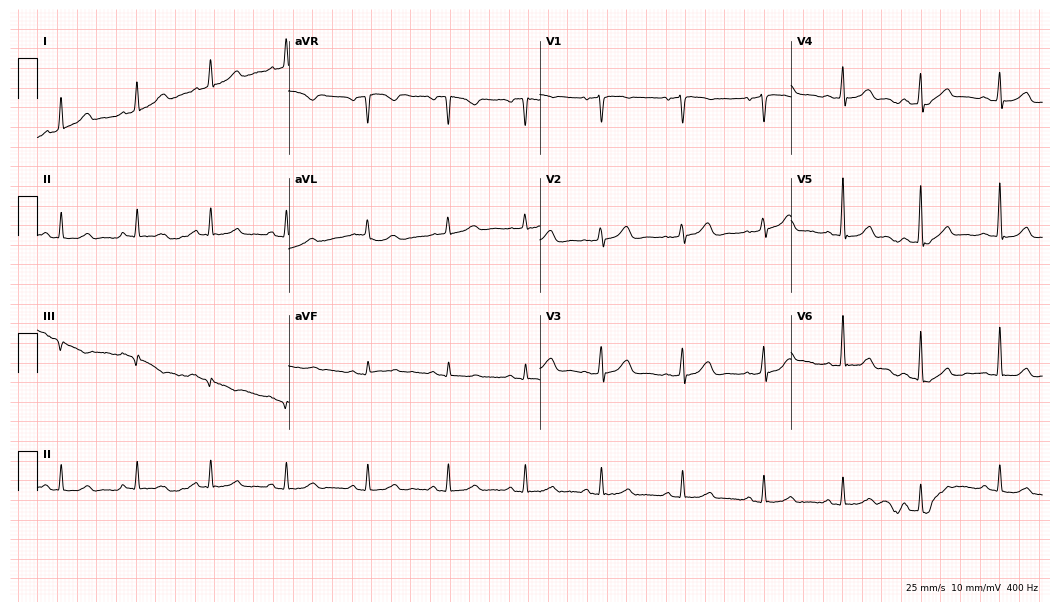
12-lead ECG from a 63-year-old female (10.2-second recording at 400 Hz). Recorded interpretation: within normal limits.